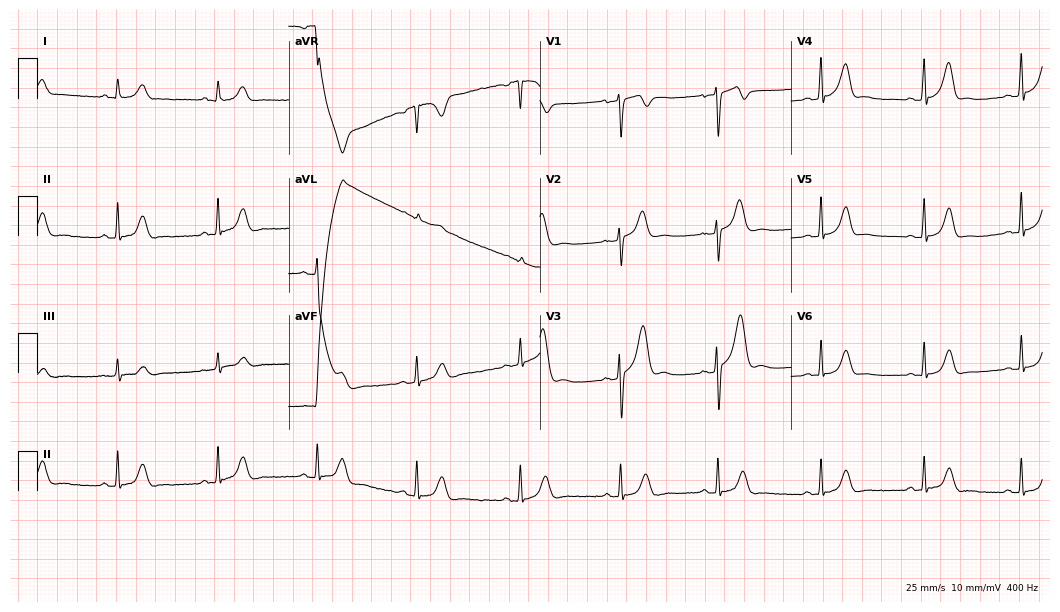
ECG (10.2-second recording at 400 Hz) — a female, 19 years old. Screened for six findings — first-degree AV block, right bundle branch block, left bundle branch block, sinus bradycardia, atrial fibrillation, sinus tachycardia — none is recorded. Other findings, if any, are not listed.